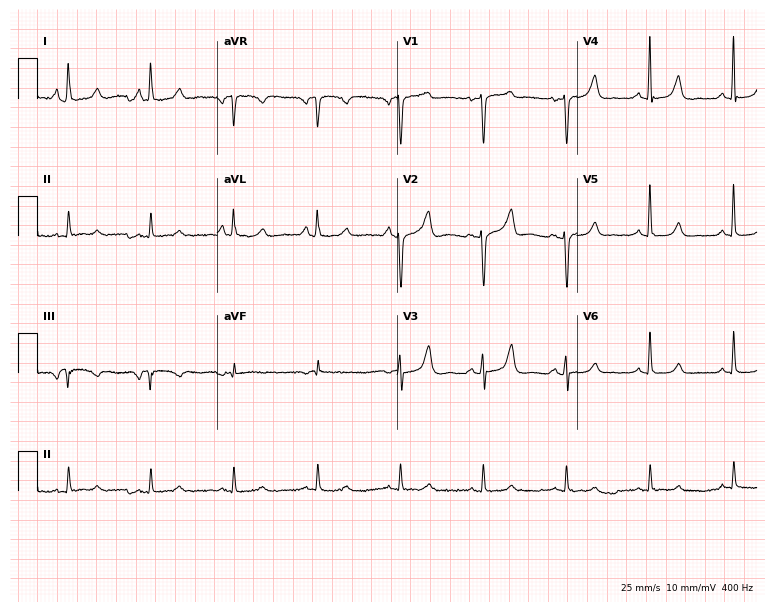
Electrocardiogram (7.3-second recording at 400 Hz), a woman, 80 years old. Overall reading on record: normal ECG.